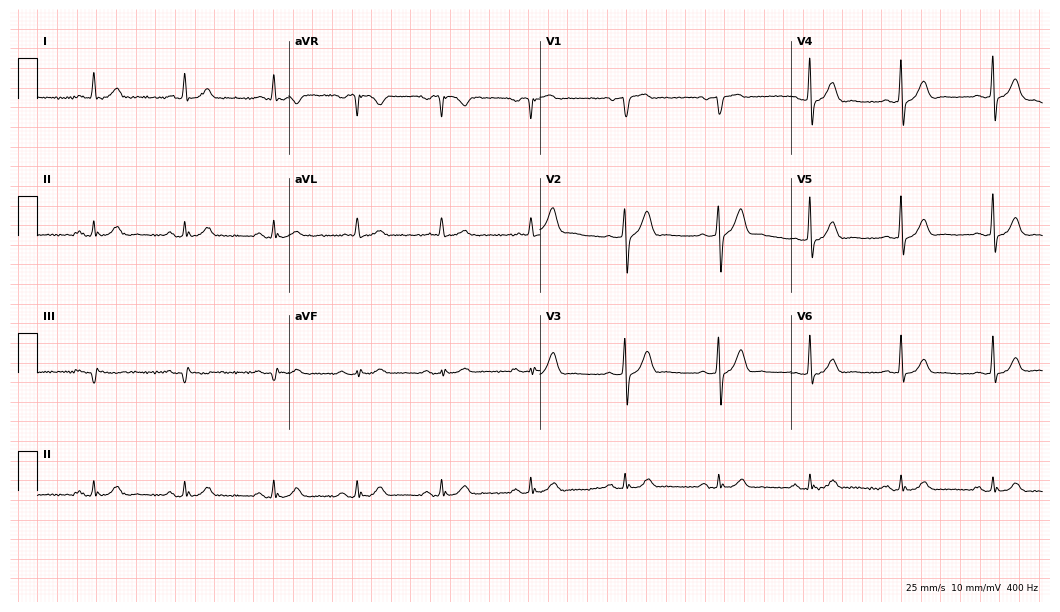
12-lead ECG from a 61-year-old male patient (10.2-second recording at 400 Hz). Recorded interpretation: within normal limits.